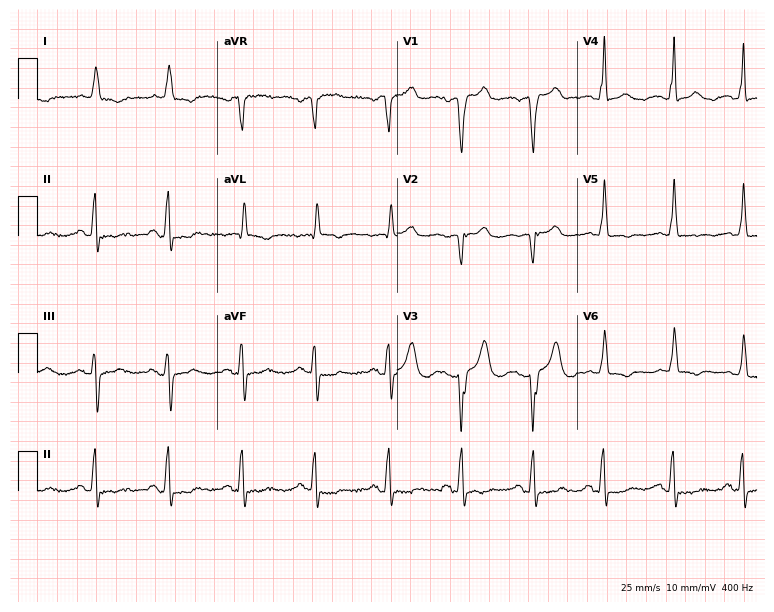
12-lead ECG from an 82-year-old female patient (7.3-second recording at 400 Hz). No first-degree AV block, right bundle branch block (RBBB), left bundle branch block (LBBB), sinus bradycardia, atrial fibrillation (AF) or sinus tachycardia recorded for this tracing. Findings outside these six are not listed.